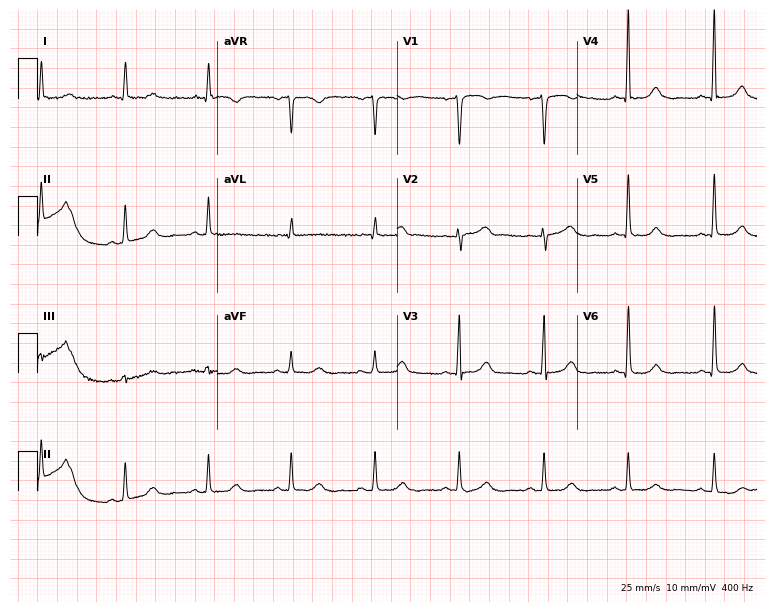
ECG — a female, 69 years old. Screened for six findings — first-degree AV block, right bundle branch block, left bundle branch block, sinus bradycardia, atrial fibrillation, sinus tachycardia — none is recorded. Findings outside these six are not listed.